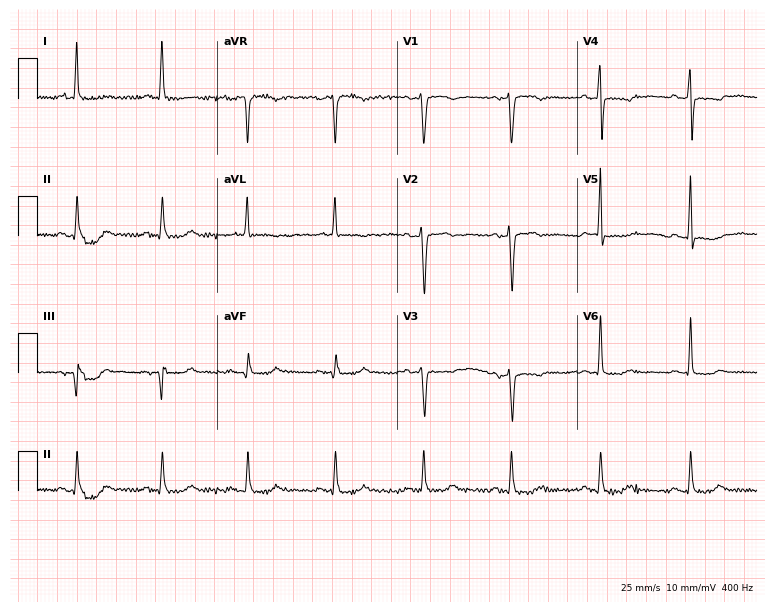
12-lead ECG from a woman, 68 years old (7.3-second recording at 400 Hz). No first-degree AV block, right bundle branch block, left bundle branch block, sinus bradycardia, atrial fibrillation or sinus tachycardia recorded for this tracing.